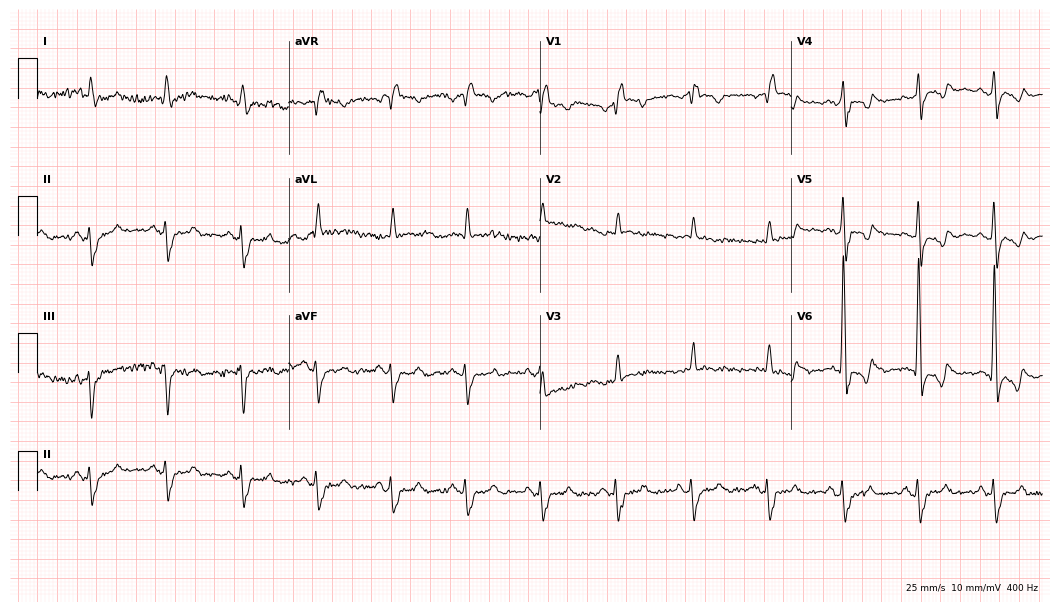
Resting 12-lead electrocardiogram. Patient: a female, 29 years old. The tracing shows right bundle branch block.